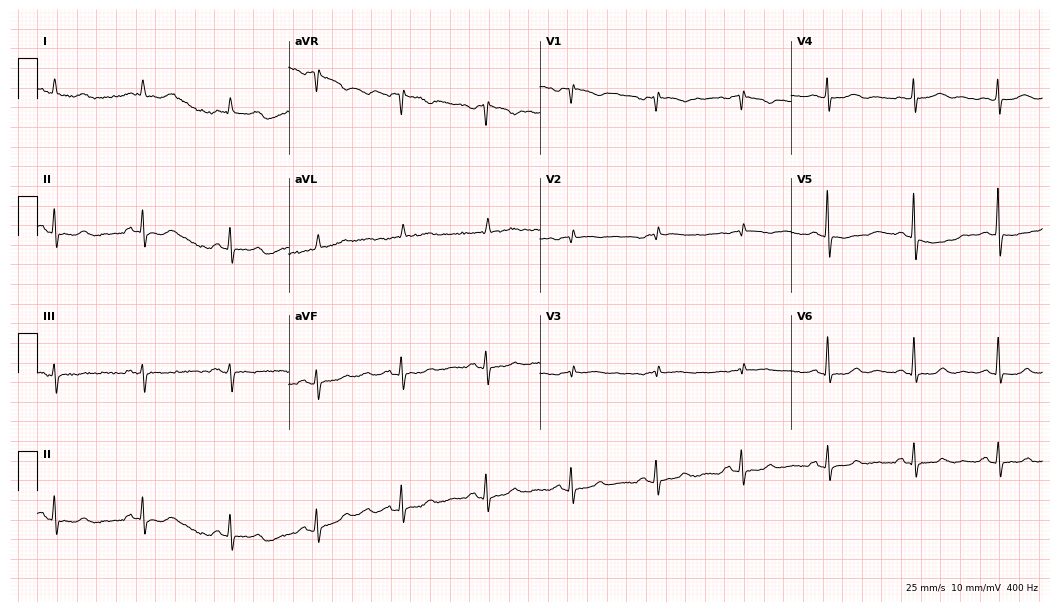
Standard 12-lead ECG recorded from a female patient, 68 years old. None of these six findings is recorded: first-degree AV block, right bundle branch block, left bundle branch block, sinus bradycardia, atrial fibrillation, sinus tachycardia. Only these six findings were labelled.